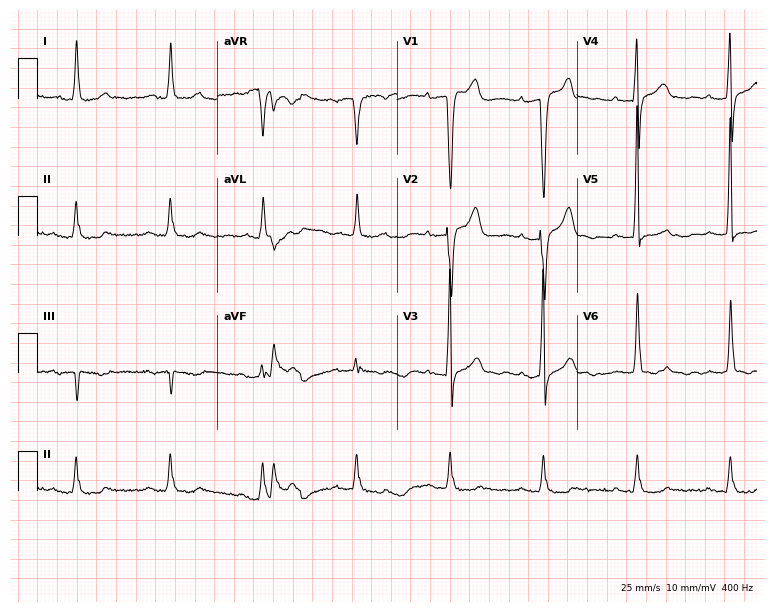
12-lead ECG from a man, 70 years old. No first-degree AV block, right bundle branch block (RBBB), left bundle branch block (LBBB), sinus bradycardia, atrial fibrillation (AF) or sinus tachycardia recorded for this tracing. Findings outside these six are not listed.